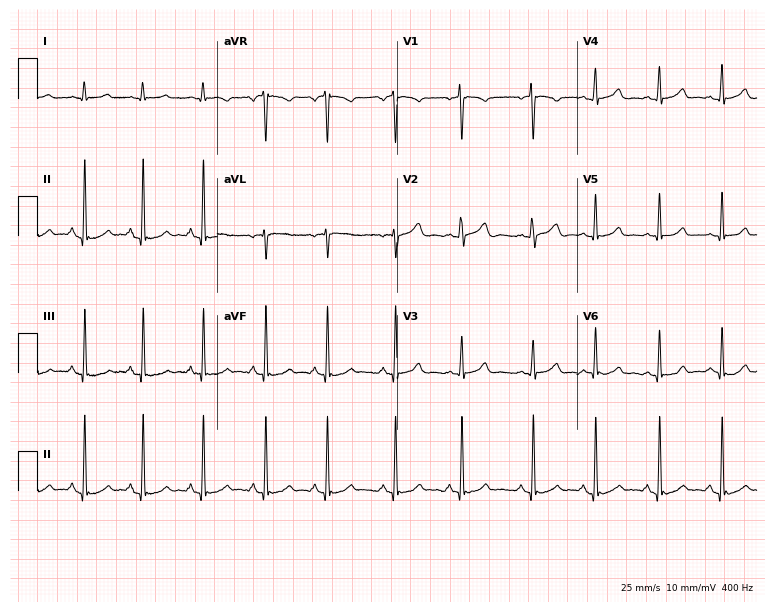
Resting 12-lead electrocardiogram. Patient: a female, 21 years old. None of these six findings is recorded: first-degree AV block, right bundle branch block, left bundle branch block, sinus bradycardia, atrial fibrillation, sinus tachycardia.